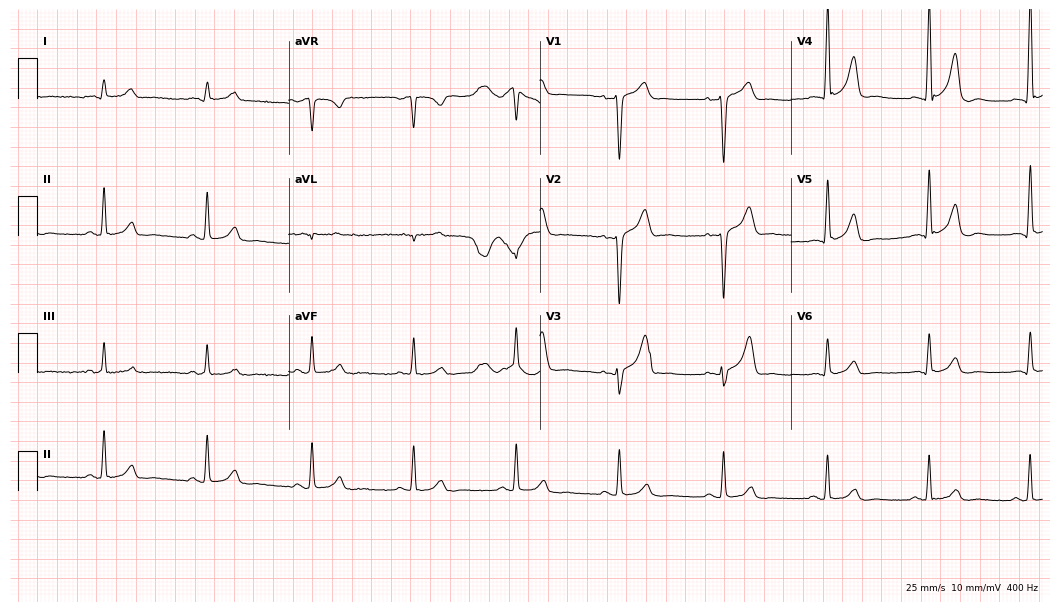
ECG — a male patient, 46 years old. Labelled as a normal ECG.